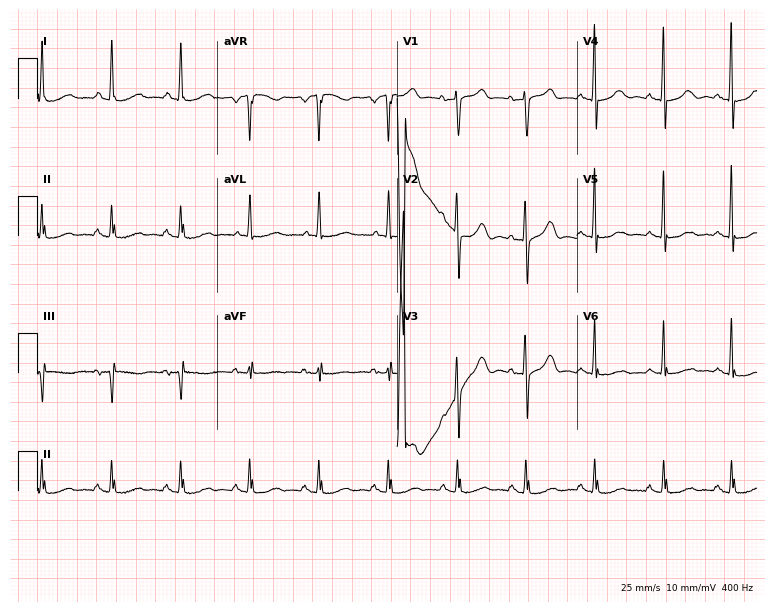
12-lead ECG (7.3-second recording at 400 Hz) from a 78-year-old female patient. Labelled as a normal ECG.